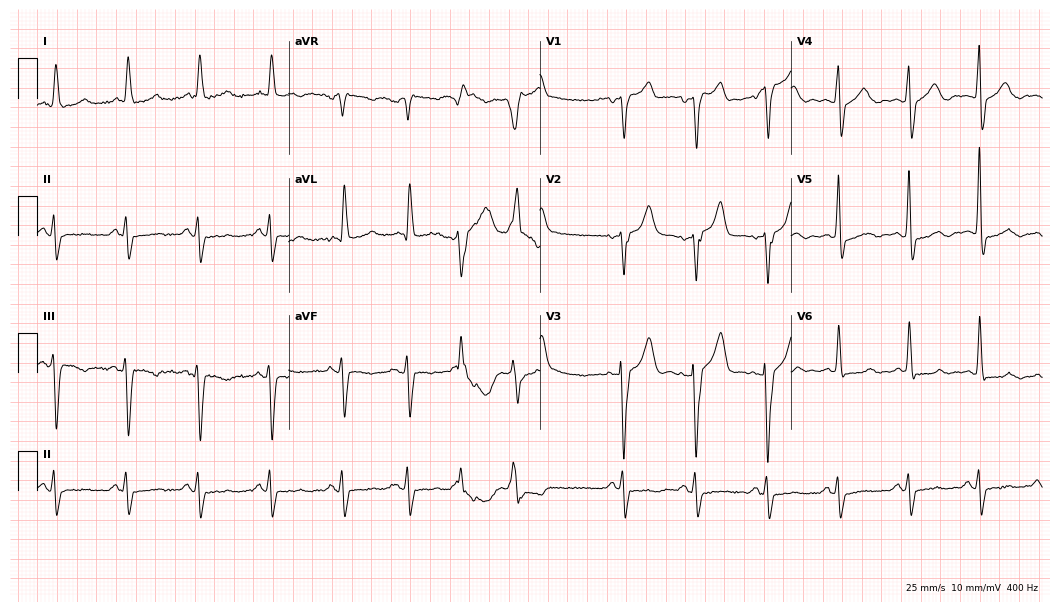
12-lead ECG from a 77-year-old male patient. No first-degree AV block, right bundle branch block, left bundle branch block, sinus bradycardia, atrial fibrillation or sinus tachycardia recorded for this tracing.